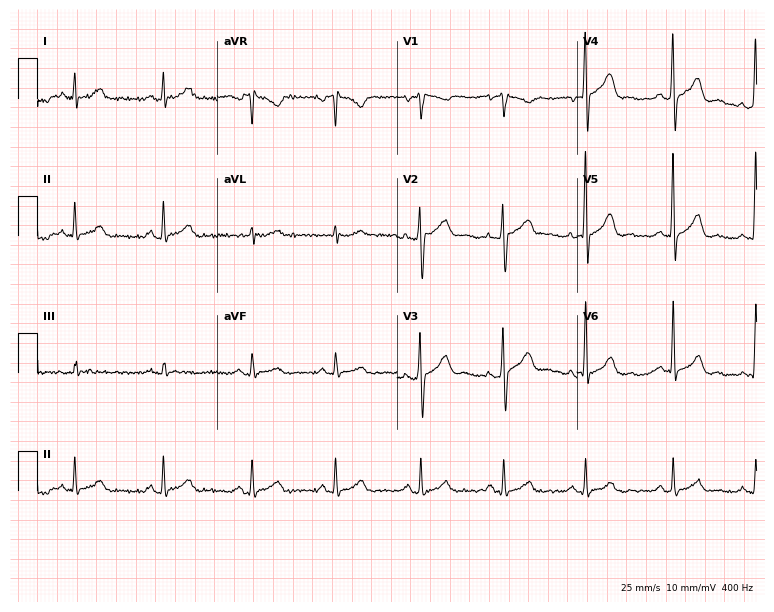
Electrocardiogram (7.3-second recording at 400 Hz), a 46-year-old man. Overall reading on record: normal ECG.